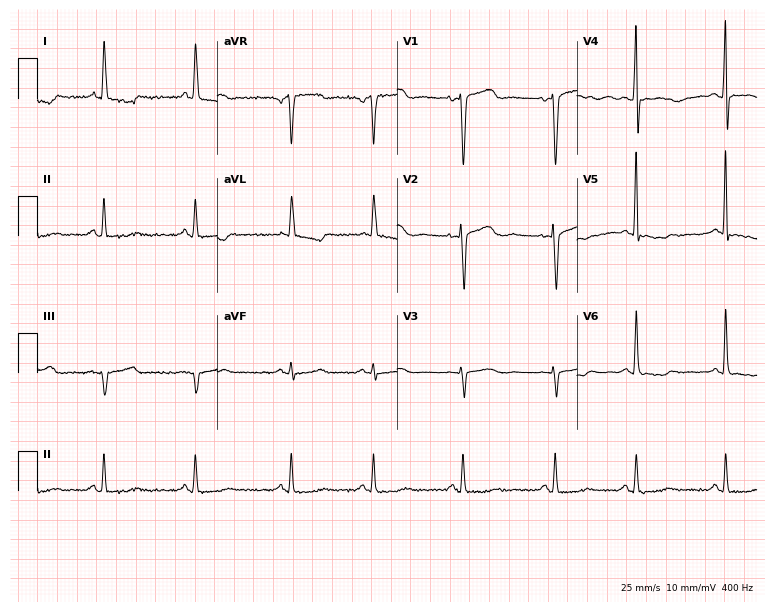
12-lead ECG (7.3-second recording at 400 Hz) from a female patient, 82 years old. Screened for six findings — first-degree AV block, right bundle branch block (RBBB), left bundle branch block (LBBB), sinus bradycardia, atrial fibrillation (AF), sinus tachycardia — none is recorded.